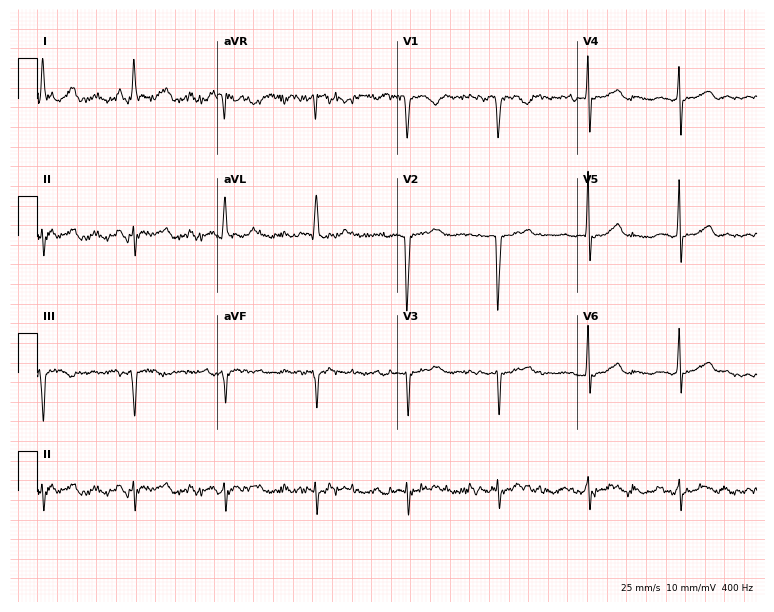
Resting 12-lead electrocardiogram (7.3-second recording at 400 Hz). Patient: a 77-year-old female. None of these six findings is recorded: first-degree AV block, right bundle branch block (RBBB), left bundle branch block (LBBB), sinus bradycardia, atrial fibrillation (AF), sinus tachycardia.